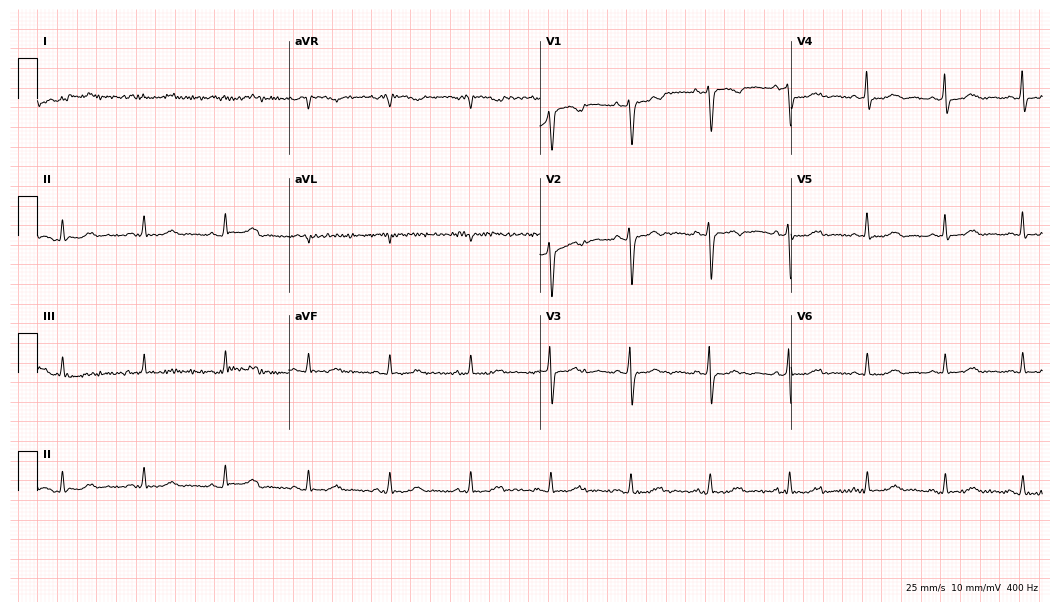
Electrocardiogram (10.2-second recording at 400 Hz), a 74-year-old female. Of the six screened findings (first-degree AV block, right bundle branch block, left bundle branch block, sinus bradycardia, atrial fibrillation, sinus tachycardia), none is recorded. Findings outside these six are not listed.